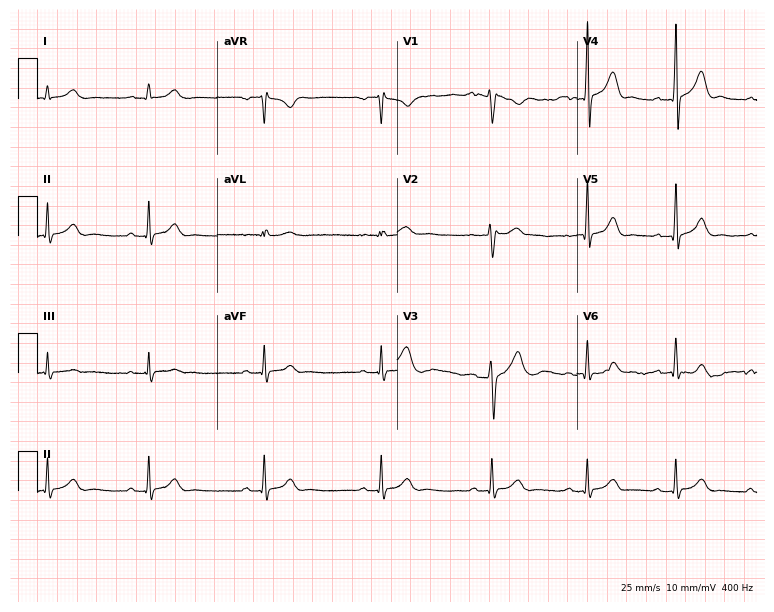
12-lead ECG (7.3-second recording at 400 Hz) from a male patient, 31 years old. Labelled as a normal ECG.